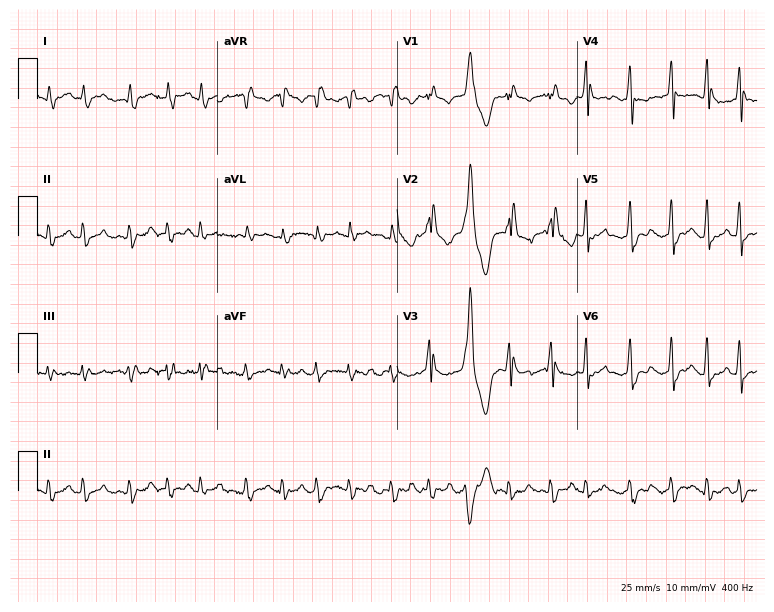
Resting 12-lead electrocardiogram (7.3-second recording at 400 Hz). Patient: a male, 51 years old. The tracing shows right bundle branch block, atrial fibrillation.